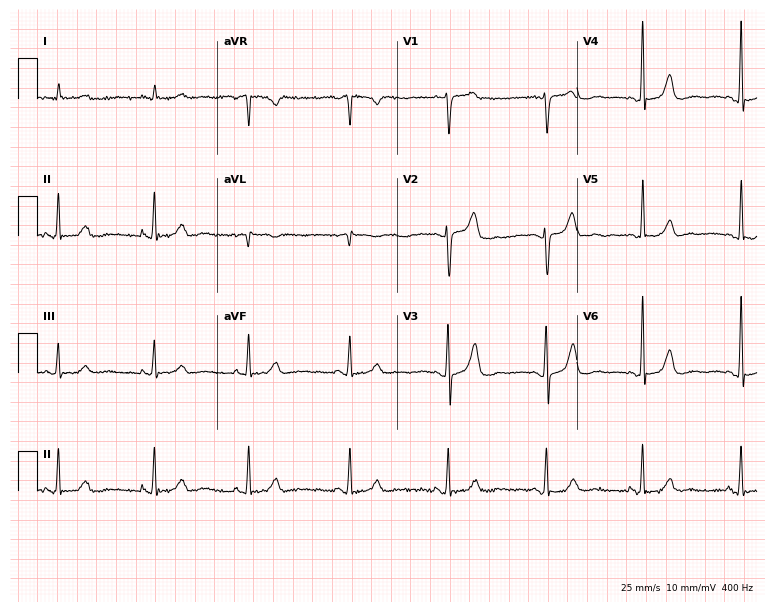
ECG — a 52-year-old male patient. Labelled as a normal ECG.